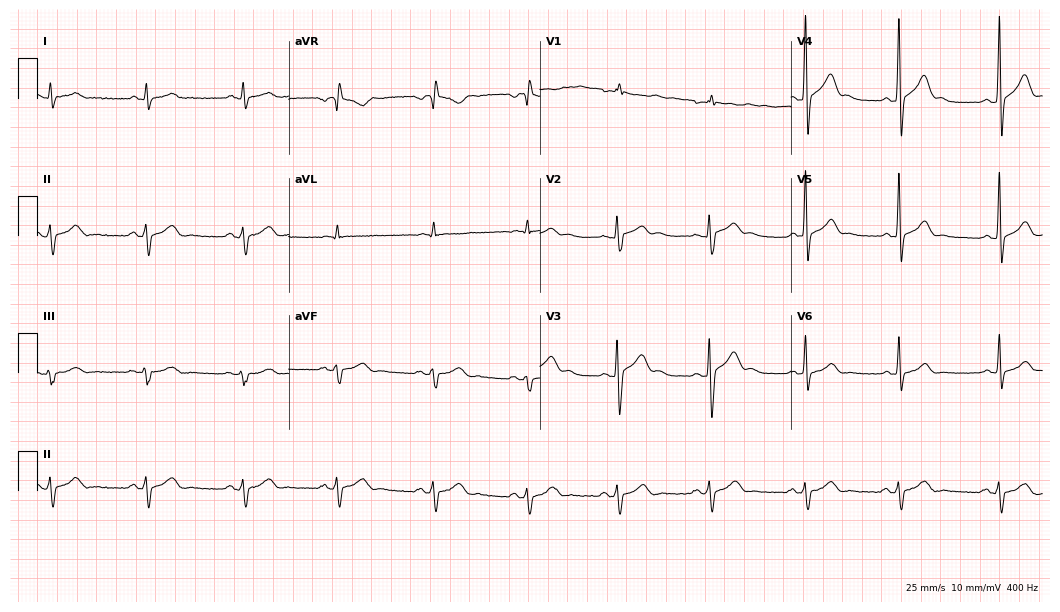
12-lead ECG from a 27-year-old male patient (10.2-second recording at 400 Hz). No first-degree AV block, right bundle branch block, left bundle branch block, sinus bradycardia, atrial fibrillation or sinus tachycardia recorded for this tracing.